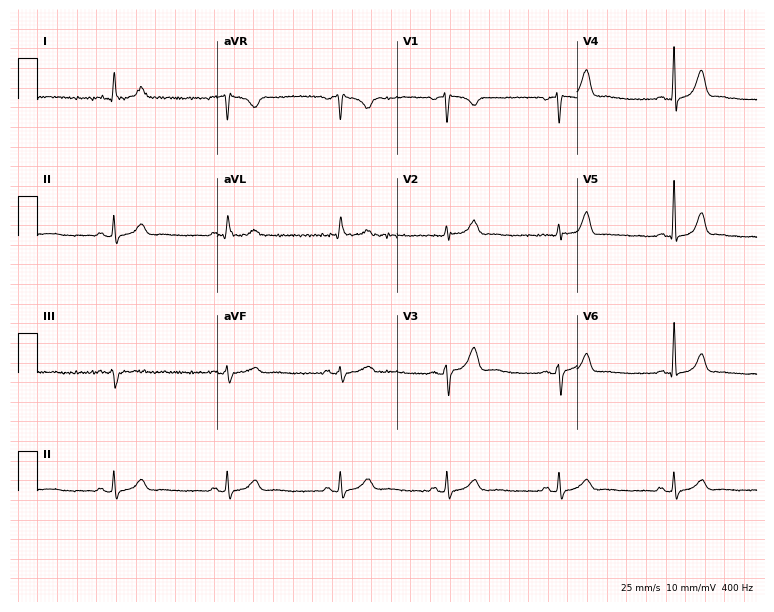
Electrocardiogram (7.3-second recording at 400 Hz), a 33-year-old female. Of the six screened findings (first-degree AV block, right bundle branch block (RBBB), left bundle branch block (LBBB), sinus bradycardia, atrial fibrillation (AF), sinus tachycardia), none is recorded.